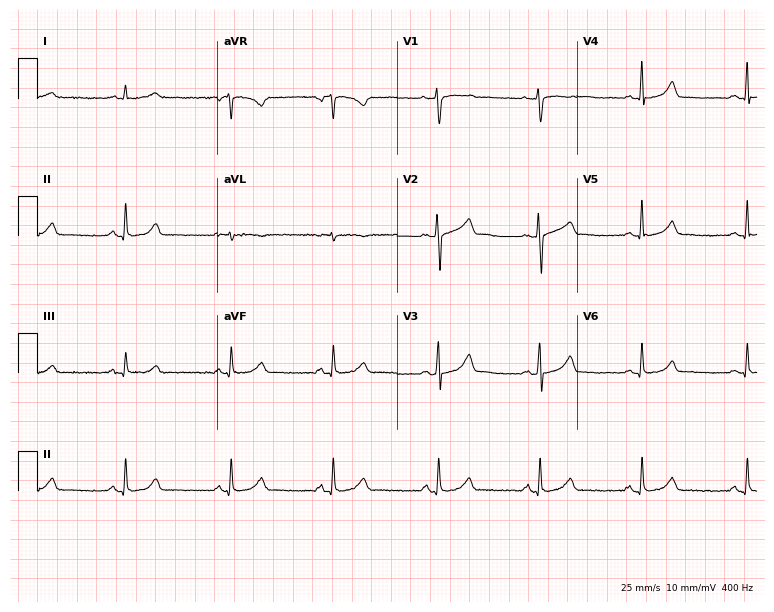
12-lead ECG from a 31-year-old female patient. Labelled as a normal ECG.